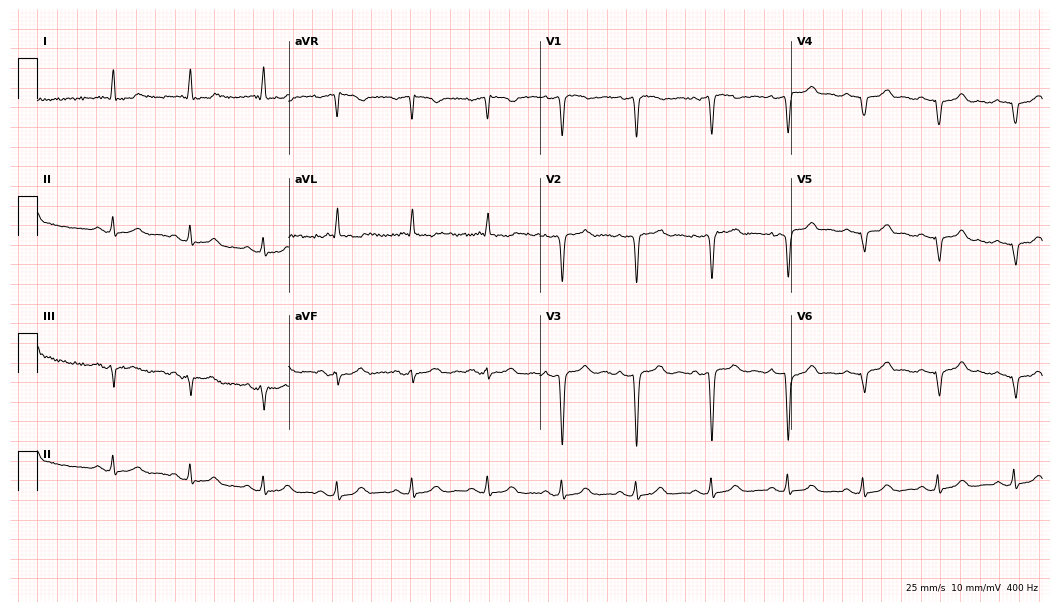
12-lead ECG from a male patient, 83 years old. Screened for six findings — first-degree AV block, right bundle branch block (RBBB), left bundle branch block (LBBB), sinus bradycardia, atrial fibrillation (AF), sinus tachycardia — none is recorded. Other findings, if any, are not listed.